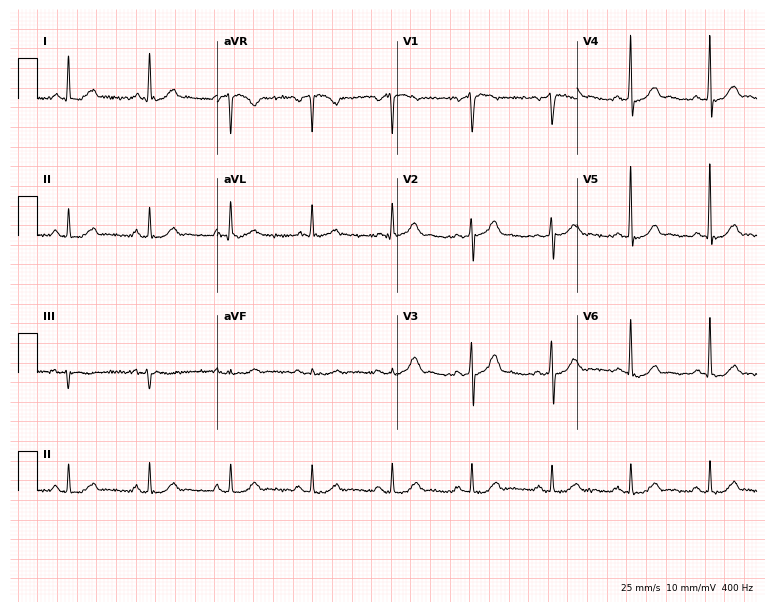
ECG — a 58-year-old male. Labelled as a normal ECG.